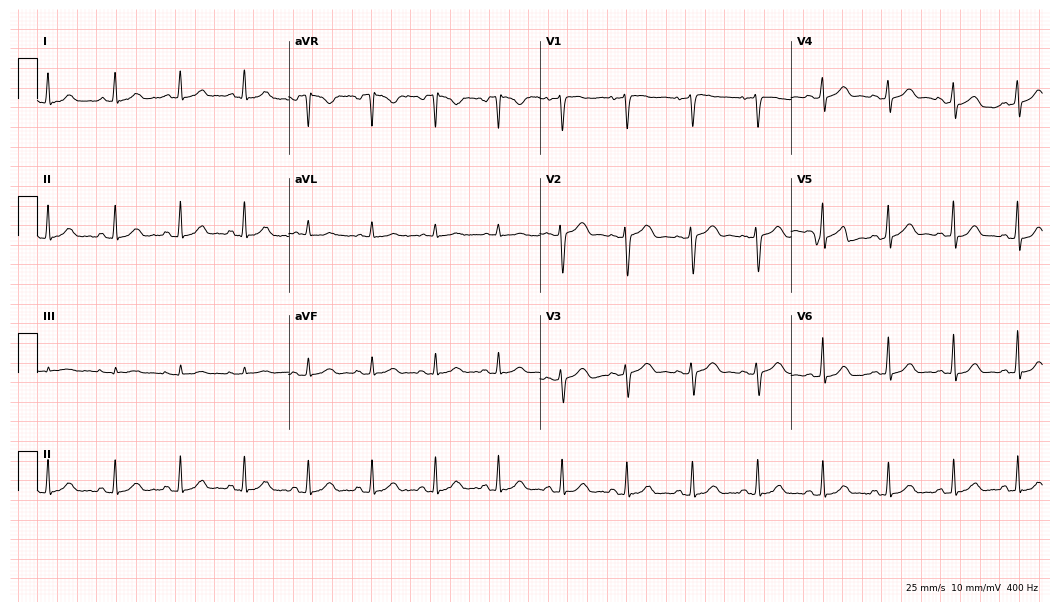
12-lead ECG from a 35-year-old female (10.2-second recording at 400 Hz). Recorded interpretation: within normal limits.